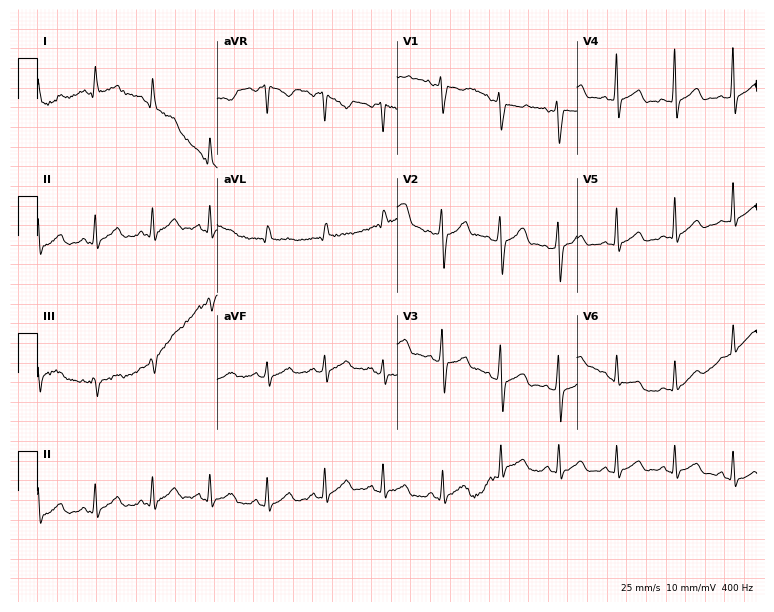
Electrocardiogram, a woman, 40 years old. Of the six screened findings (first-degree AV block, right bundle branch block (RBBB), left bundle branch block (LBBB), sinus bradycardia, atrial fibrillation (AF), sinus tachycardia), none is recorded. Other findings, if any, are not listed.